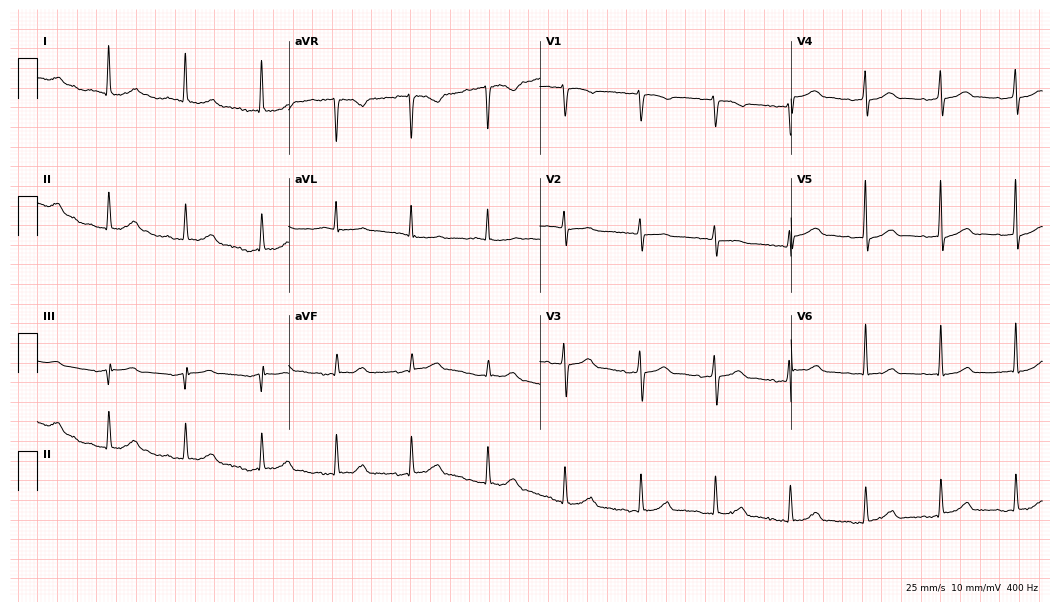
12-lead ECG from an 85-year-old female patient (10.2-second recording at 400 Hz). Recorded interpretation: within normal limits.